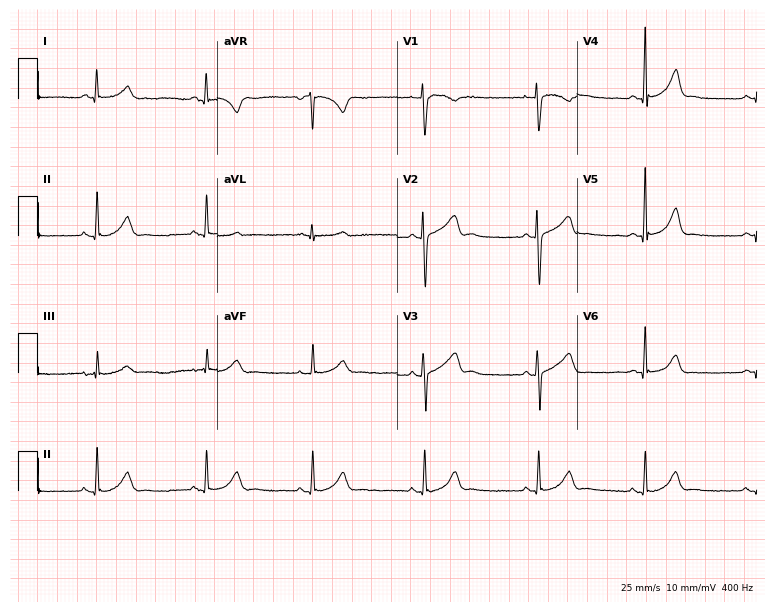
12-lead ECG from a 30-year-old woman. Labelled as a normal ECG.